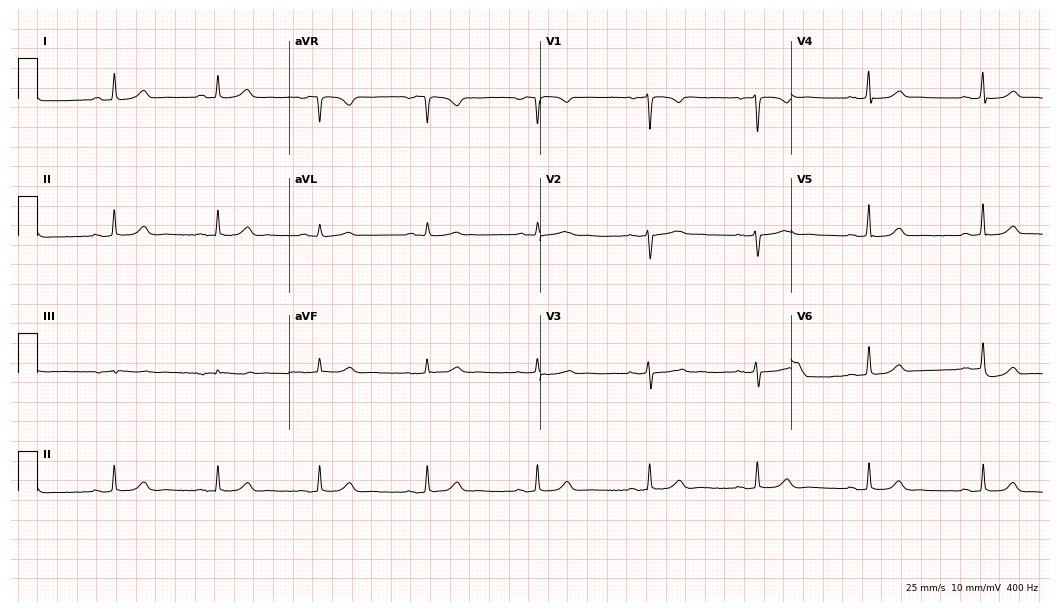
12-lead ECG (10.2-second recording at 400 Hz) from a 52-year-old female. Labelled as a normal ECG.